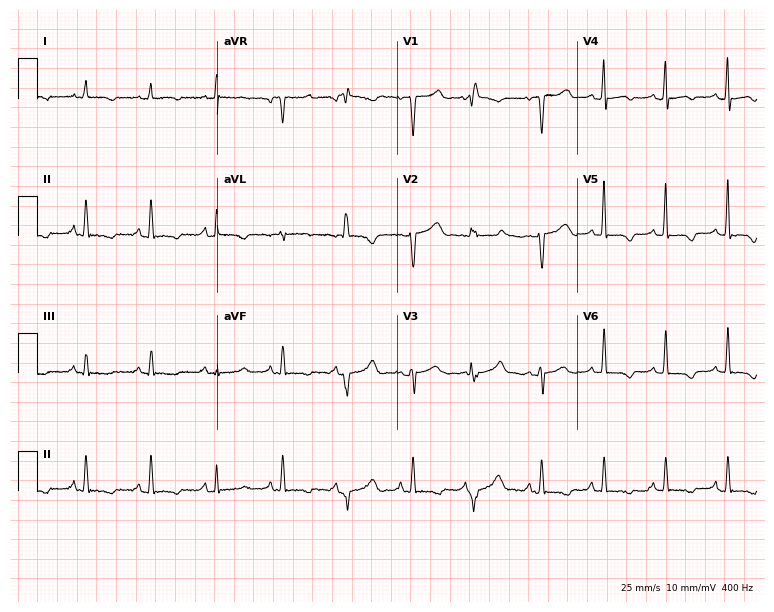
12-lead ECG from a female, 67 years old. Recorded interpretation: within normal limits.